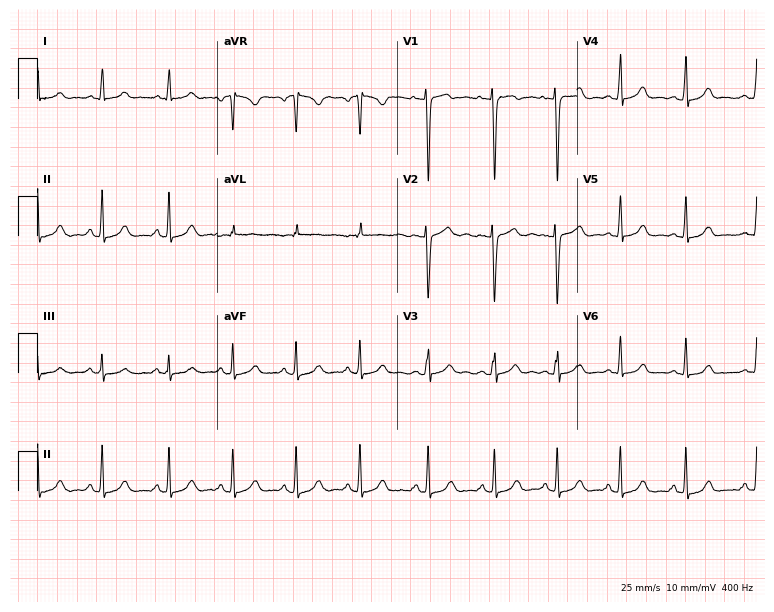
12-lead ECG from a woman, 22 years old (7.3-second recording at 400 Hz). No first-degree AV block, right bundle branch block (RBBB), left bundle branch block (LBBB), sinus bradycardia, atrial fibrillation (AF) or sinus tachycardia recorded for this tracing.